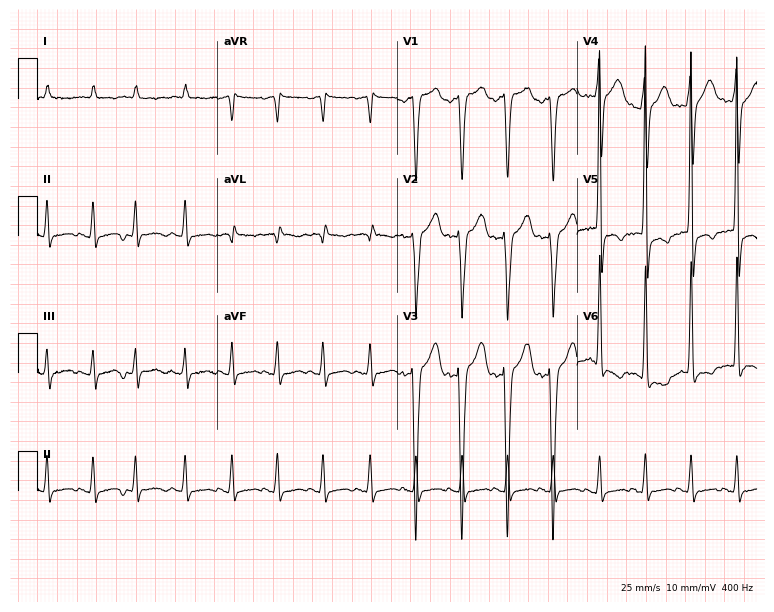
Resting 12-lead electrocardiogram. Patient: an 85-year-old female. The tracing shows sinus tachycardia (a sinus rate of 100 beats per minute or more).